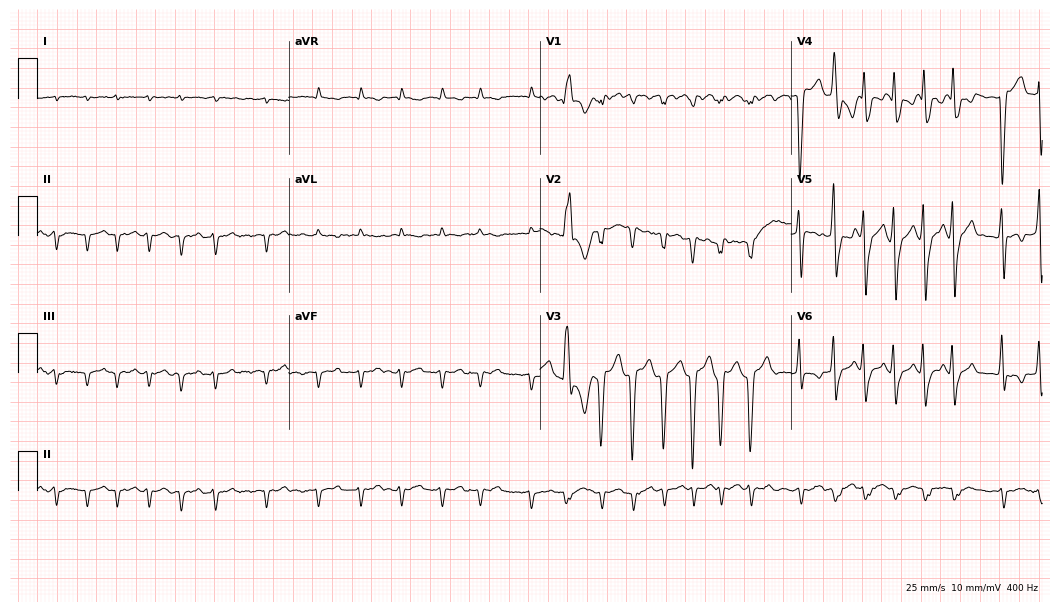
Standard 12-lead ECG recorded from a 28-year-old male. The tracing shows atrial fibrillation, sinus tachycardia (a sinus rate of 100 beats per minute or more).